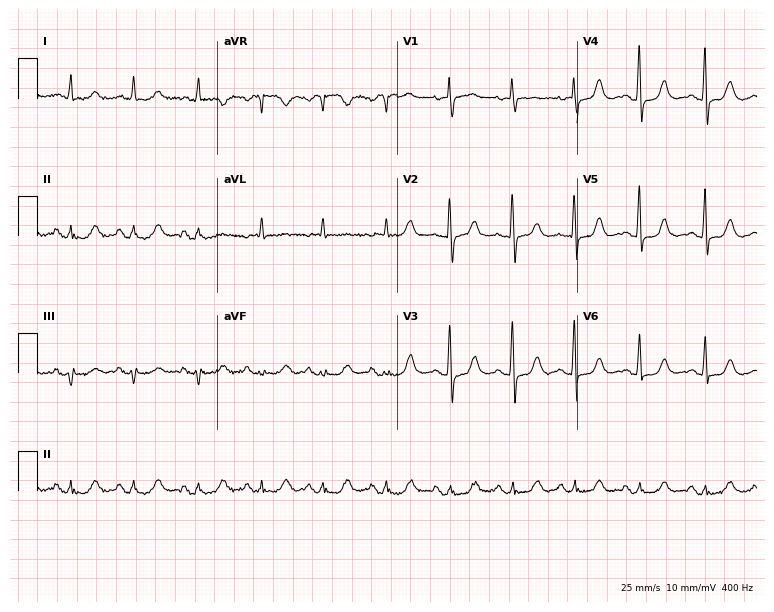
12-lead ECG from a 78-year-old woman. No first-degree AV block, right bundle branch block (RBBB), left bundle branch block (LBBB), sinus bradycardia, atrial fibrillation (AF) or sinus tachycardia recorded for this tracing. Only these six findings were labelled.